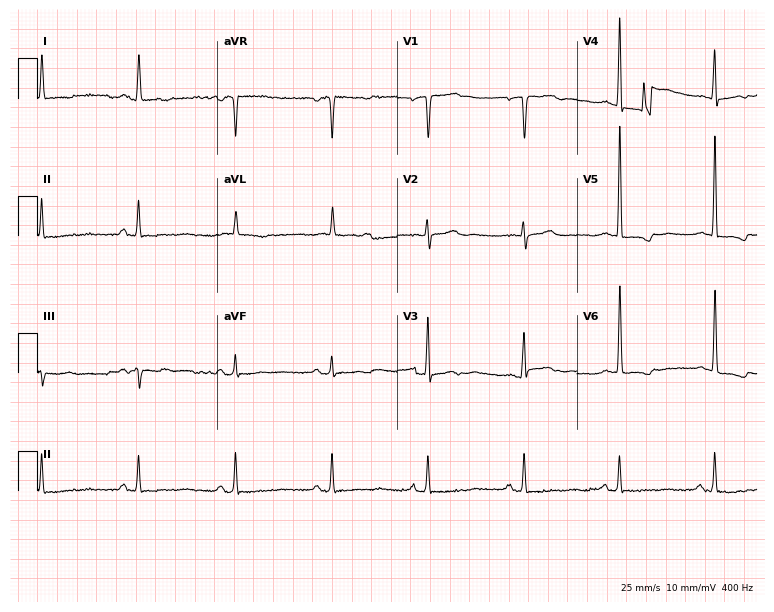
Resting 12-lead electrocardiogram (7.3-second recording at 400 Hz). Patient: a male, 84 years old. None of these six findings is recorded: first-degree AV block, right bundle branch block, left bundle branch block, sinus bradycardia, atrial fibrillation, sinus tachycardia. Only these six findings were labelled.